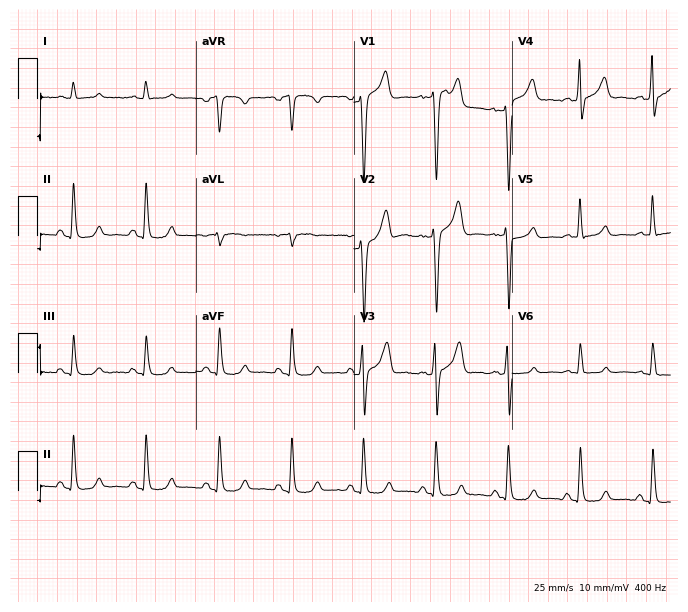
ECG (6.5-second recording at 400 Hz) — a 42-year-old male. Labelled as a normal ECG.